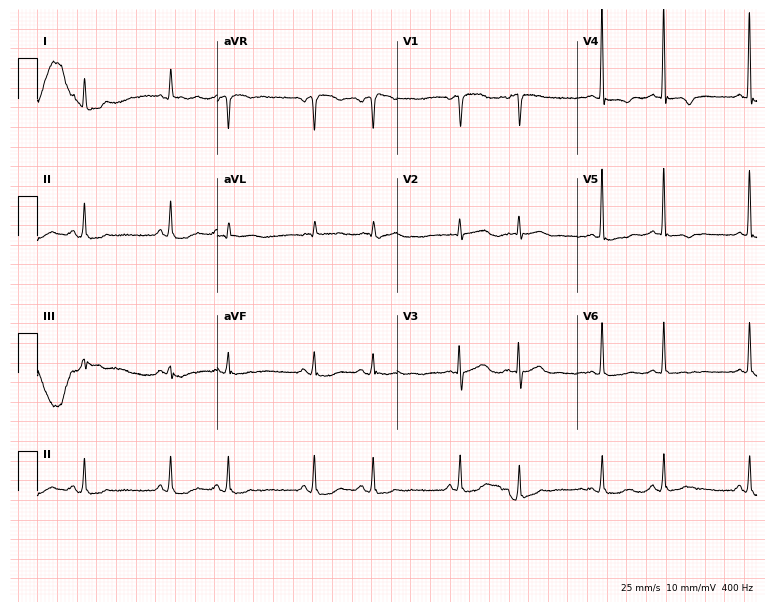
Resting 12-lead electrocardiogram. Patient: an 84-year-old male. None of these six findings is recorded: first-degree AV block, right bundle branch block, left bundle branch block, sinus bradycardia, atrial fibrillation, sinus tachycardia. Only these six findings were labelled.